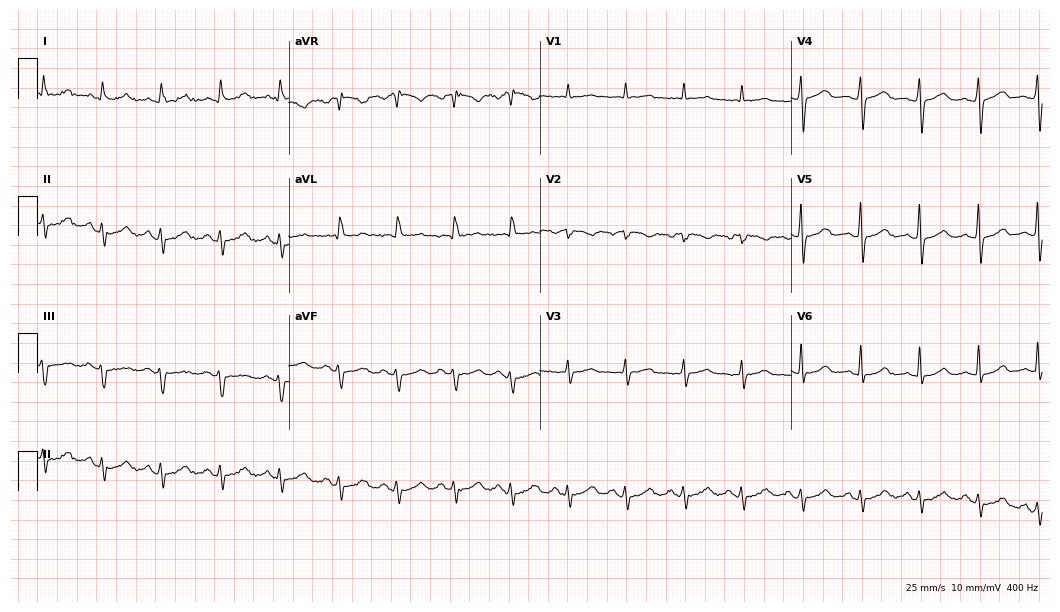
Electrocardiogram (10.2-second recording at 400 Hz), a 46-year-old female. Overall reading on record: normal ECG.